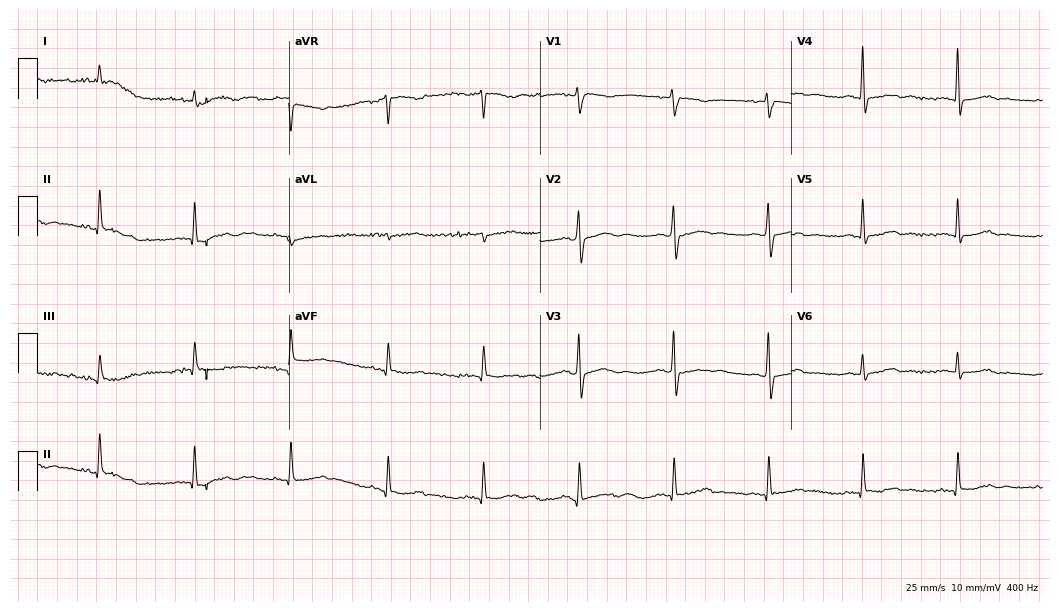
Standard 12-lead ECG recorded from a man, 82 years old (10.2-second recording at 400 Hz). None of these six findings is recorded: first-degree AV block, right bundle branch block, left bundle branch block, sinus bradycardia, atrial fibrillation, sinus tachycardia. Other findings, if any, are not listed.